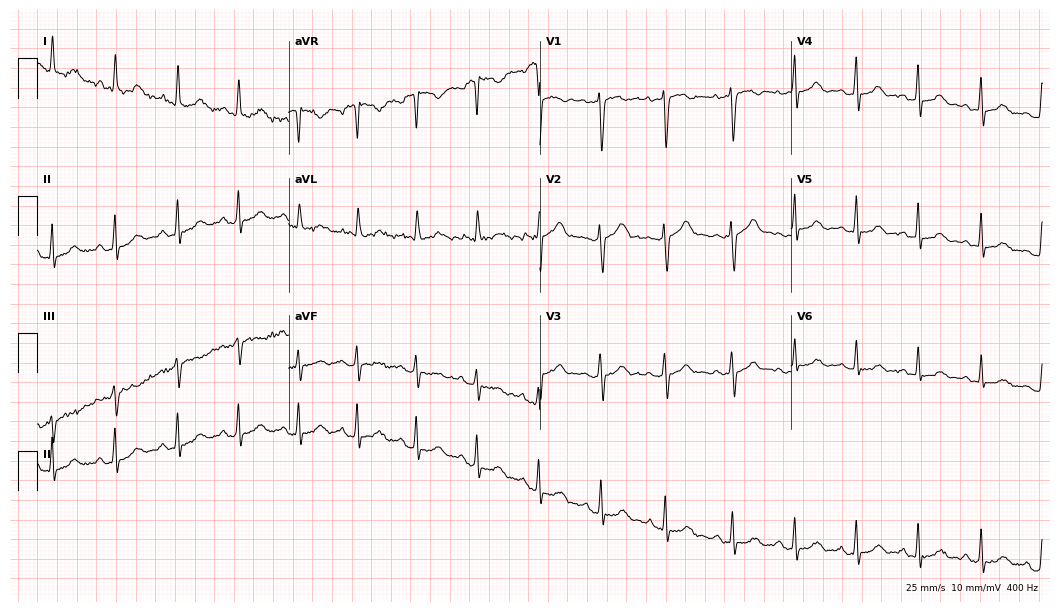
Electrocardiogram (10.2-second recording at 400 Hz), a 41-year-old female patient. Overall reading on record: normal ECG.